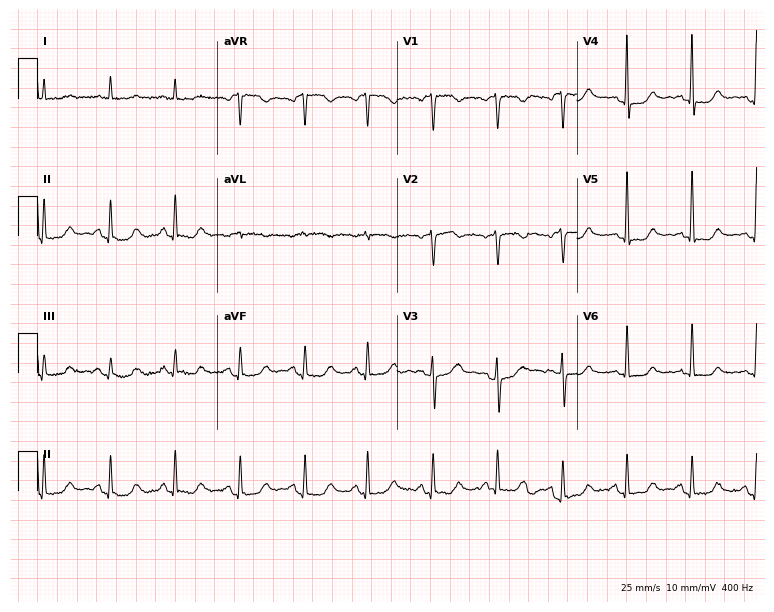
Standard 12-lead ECG recorded from a woman, 65 years old (7.3-second recording at 400 Hz). None of these six findings is recorded: first-degree AV block, right bundle branch block, left bundle branch block, sinus bradycardia, atrial fibrillation, sinus tachycardia. Findings outside these six are not listed.